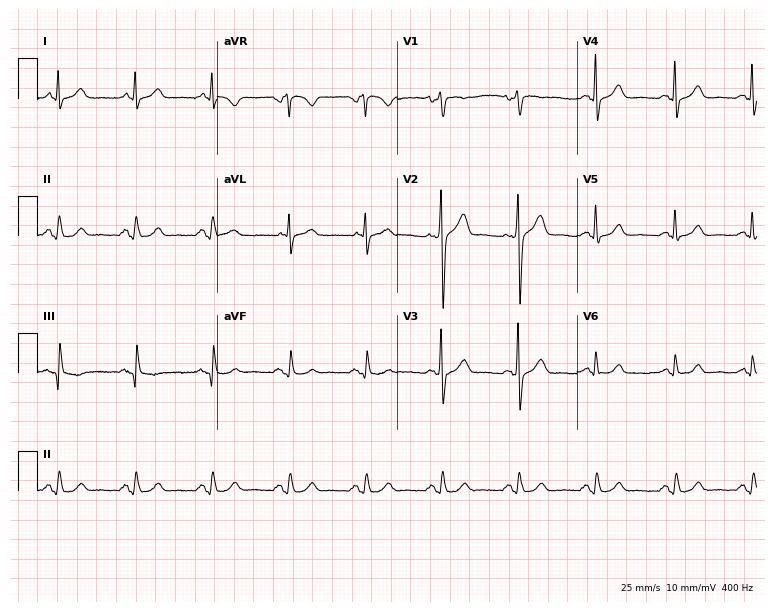
12-lead ECG from a 61-year-old male. Recorded interpretation: within normal limits.